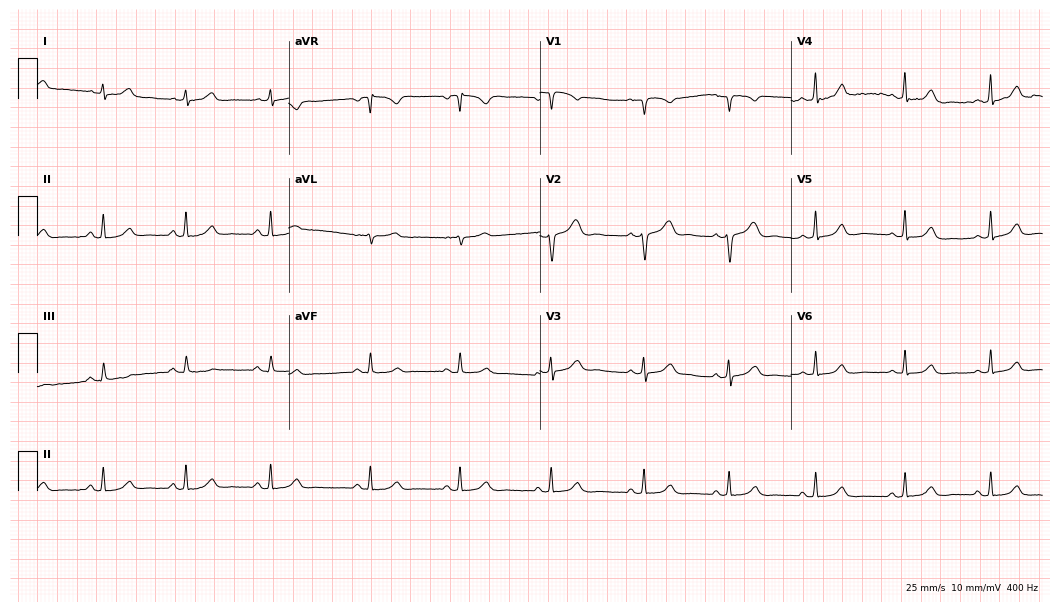
12-lead ECG from a 31-year-old female. Labelled as a normal ECG.